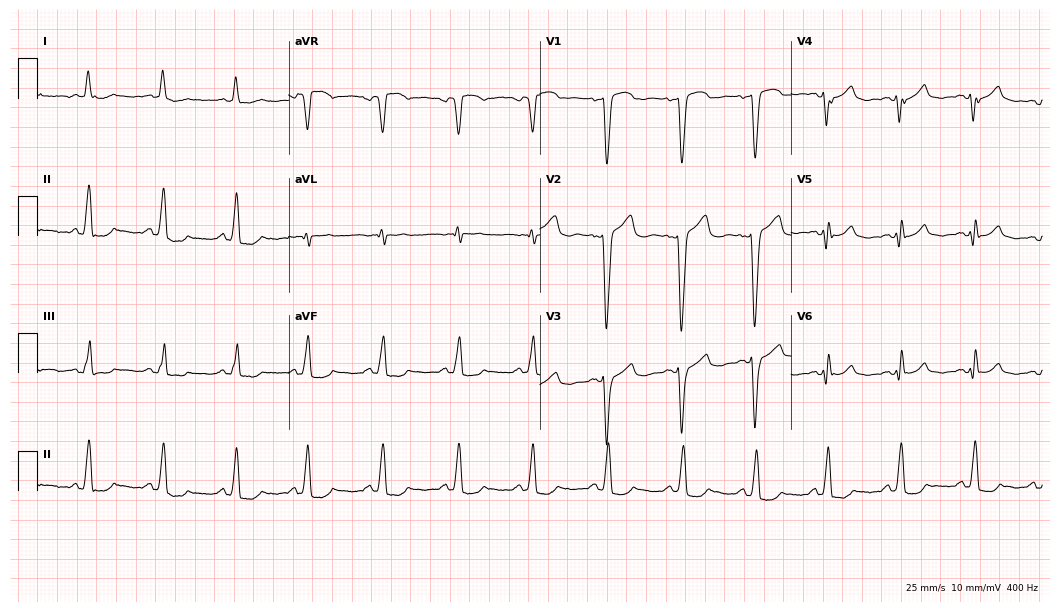
12-lead ECG from a 24-year-old female. Shows atrial fibrillation.